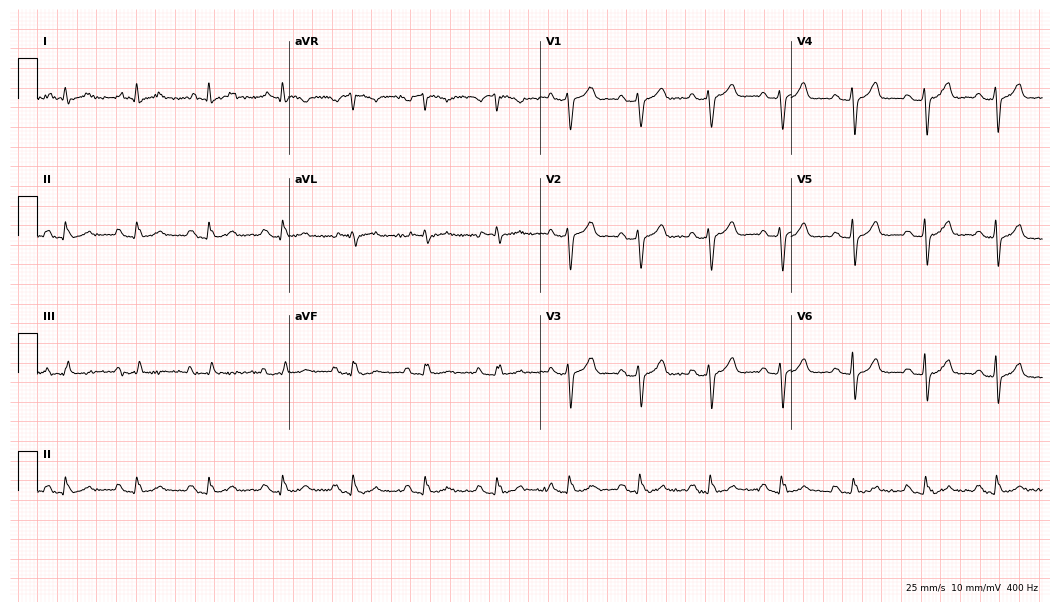
ECG — a 64-year-old male. Screened for six findings — first-degree AV block, right bundle branch block, left bundle branch block, sinus bradycardia, atrial fibrillation, sinus tachycardia — none is recorded.